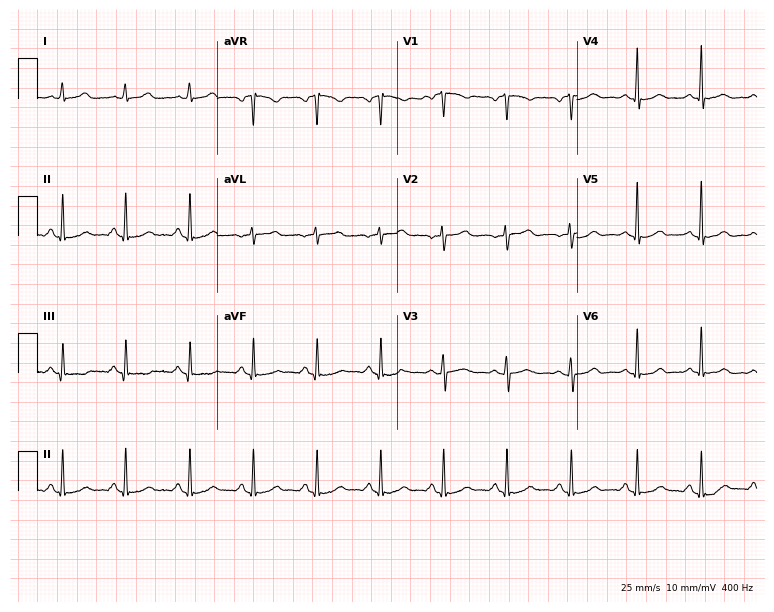
Standard 12-lead ECG recorded from a female, 39 years old. None of these six findings is recorded: first-degree AV block, right bundle branch block (RBBB), left bundle branch block (LBBB), sinus bradycardia, atrial fibrillation (AF), sinus tachycardia. Only these six findings were labelled.